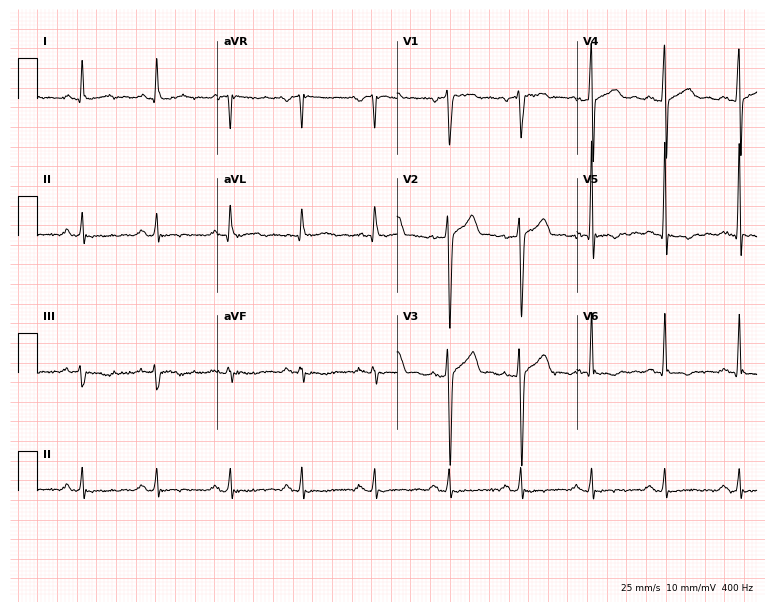
ECG (7.3-second recording at 400 Hz) — a 44-year-old male. Screened for six findings — first-degree AV block, right bundle branch block, left bundle branch block, sinus bradycardia, atrial fibrillation, sinus tachycardia — none is recorded.